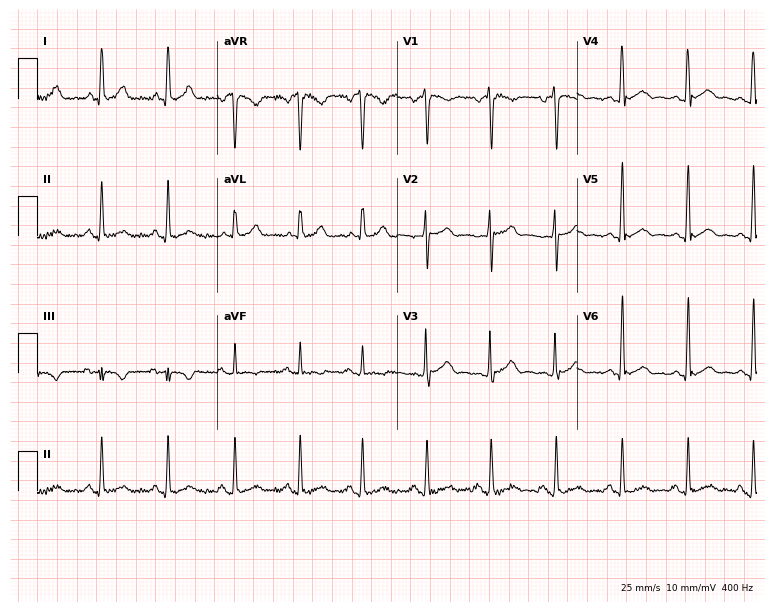
ECG — a 26-year-old man. Screened for six findings — first-degree AV block, right bundle branch block, left bundle branch block, sinus bradycardia, atrial fibrillation, sinus tachycardia — none is recorded. Findings outside these six are not listed.